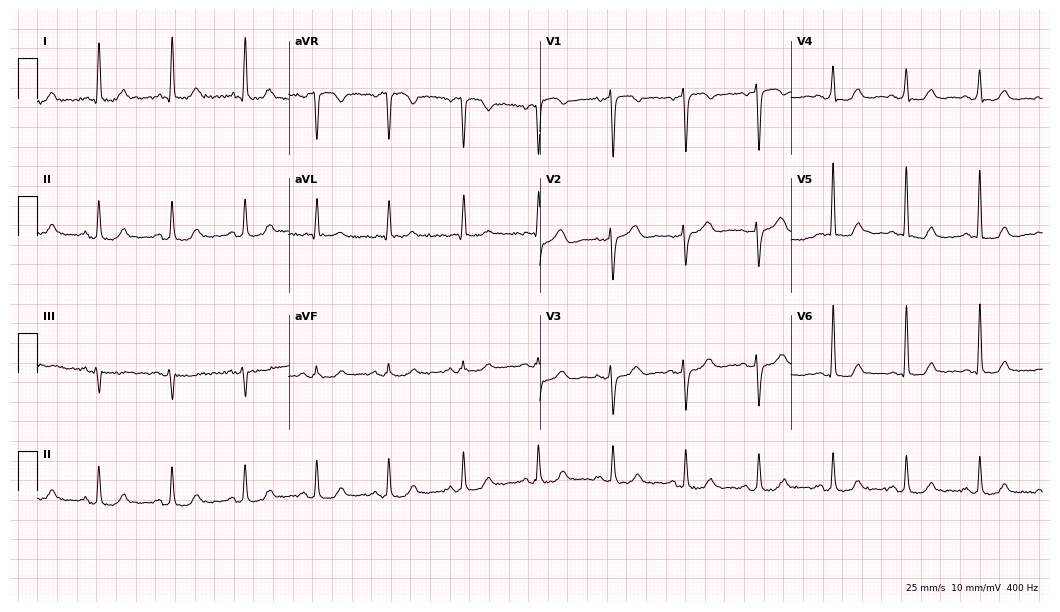
12-lead ECG from a 63-year-old woman. Screened for six findings — first-degree AV block, right bundle branch block, left bundle branch block, sinus bradycardia, atrial fibrillation, sinus tachycardia — none is recorded.